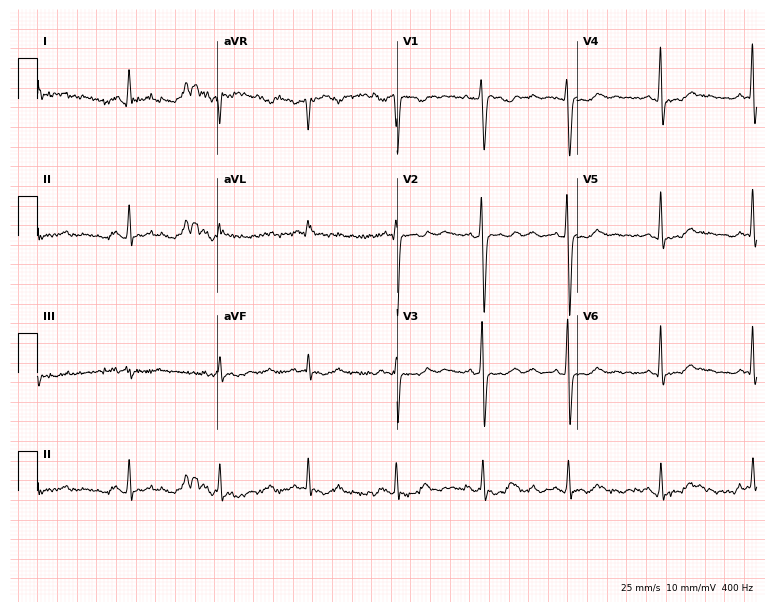
12-lead ECG from a female, 51 years old. No first-degree AV block, right bundle branch block, left bundle branch block, sinus bradycardia, atrial fibrillation or sinus tachycardia recorded for this tracing.